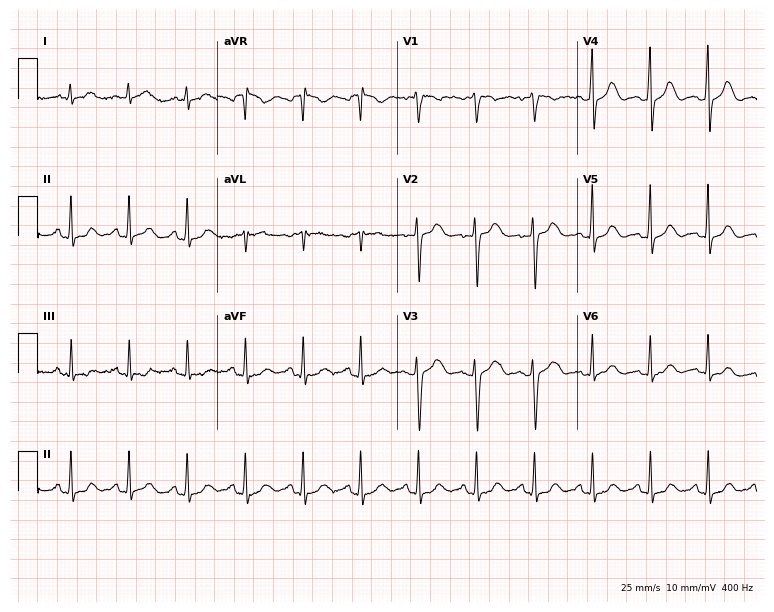
ECG (7.3-second recording at 400 Hz) — a 46-year-old female. Findings include sinus tachycardia (a sinus rate of 100 beats per minute or more).